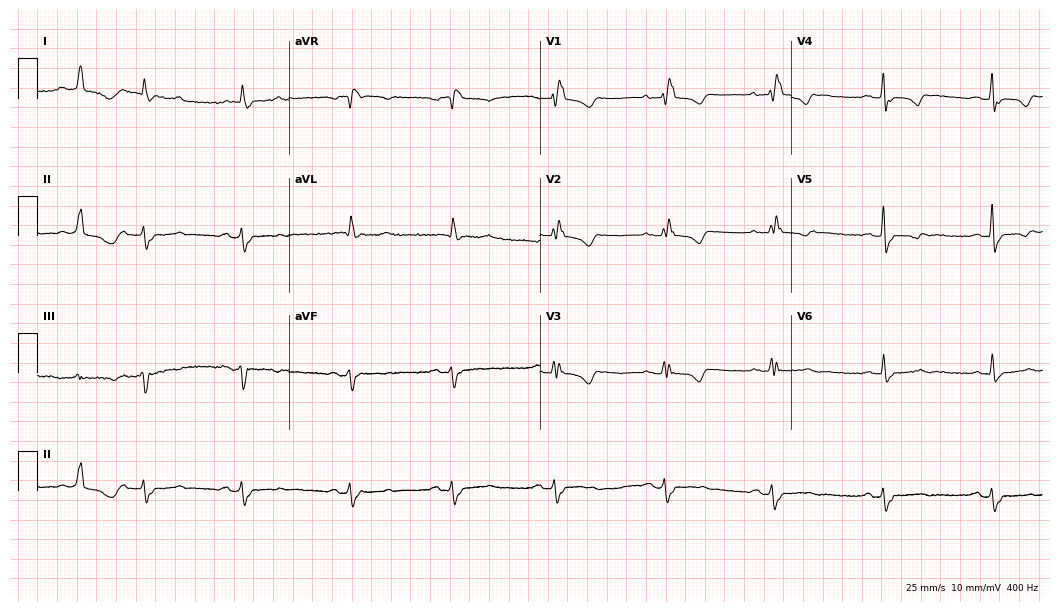
12-lead ECG from a 70-year-old female. Findings include right bundle branch block.